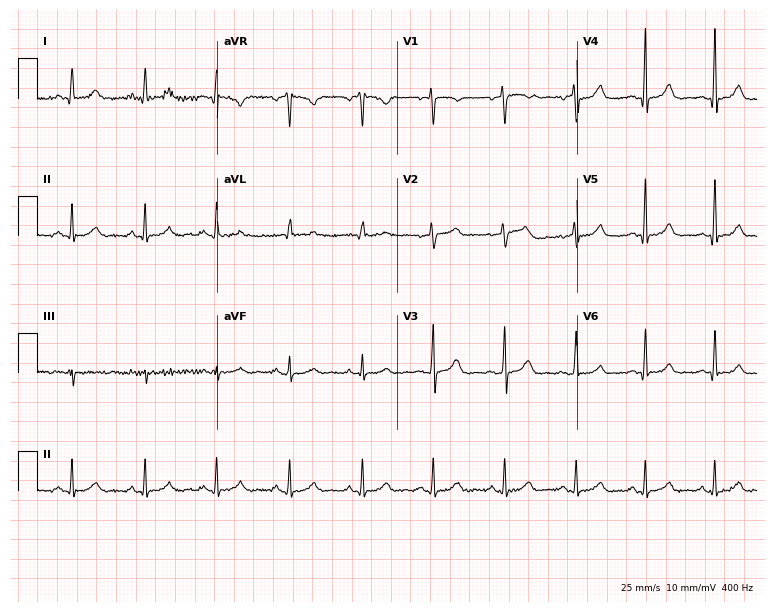
Resting 12-lead electrocardiogram. Patient: a female, 35 years old. None of these six findings is recorded: first-degree AV block, right bundle branch block, left bundle branch block, sinus bradycardia, atrial fibrillation, sinus tachycardia.